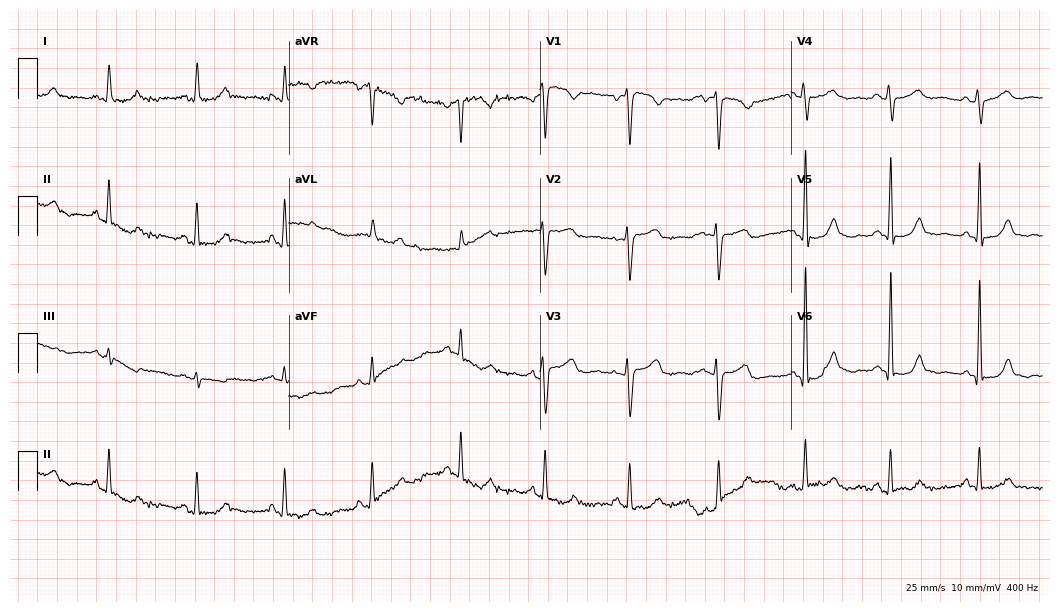
Electrocardiogram, a woman, 75 years old. Overall reading on record: normal ECG.